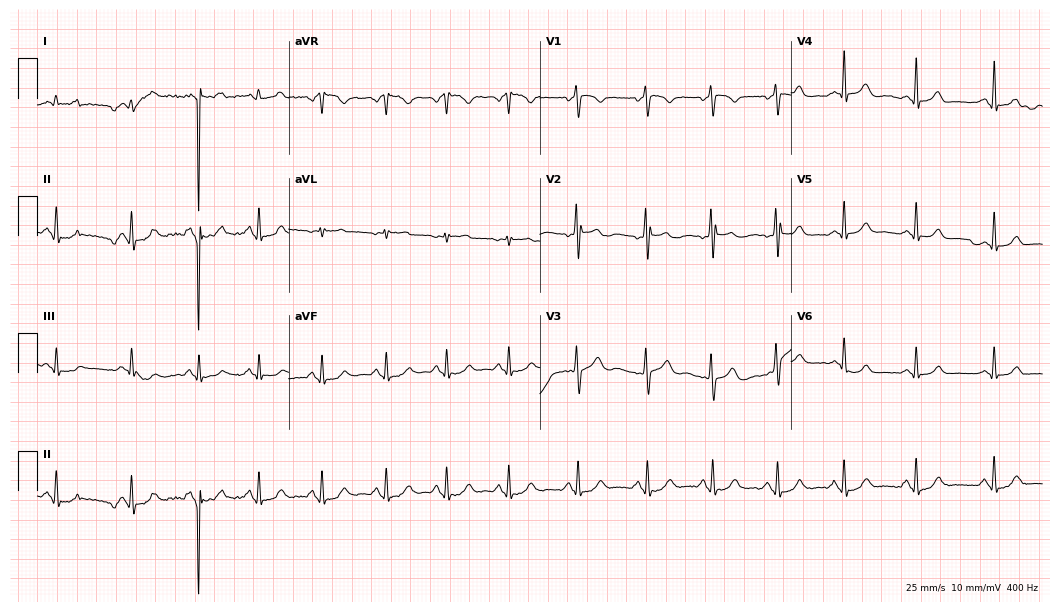
ECG — a female patient, 25 years old. Labelled as a normal ECG.